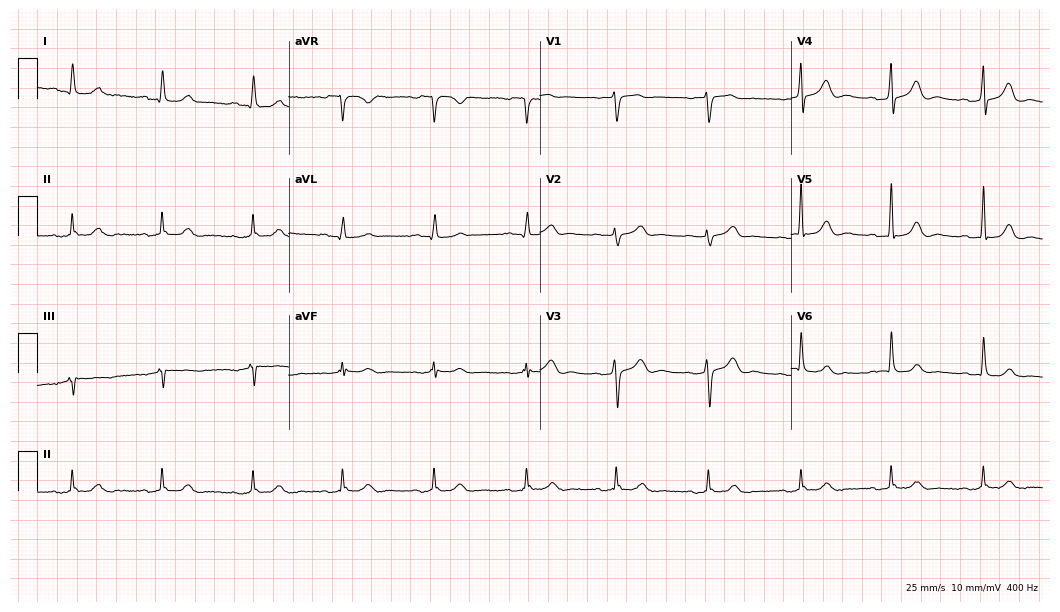
Resting 12-lead electrocardiogram (10.2-second recording at 400 Hz). Patient: a 76-year-old woman. Read as a normal ECG.